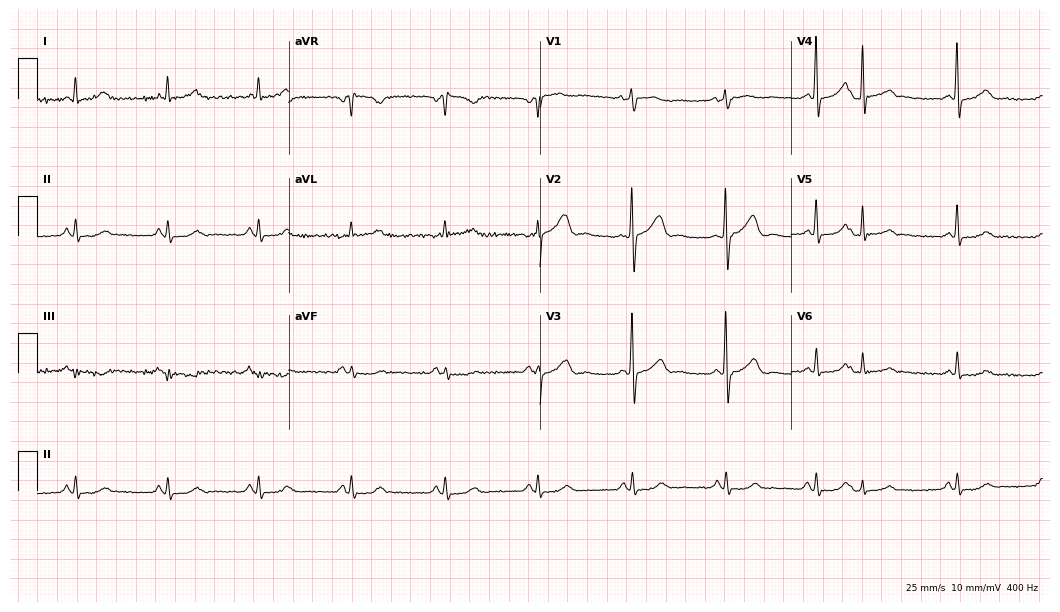
ECG (10.2-second recording at 400 Hz) — a 64-year-old female patient. Labelled as a normal ECG.